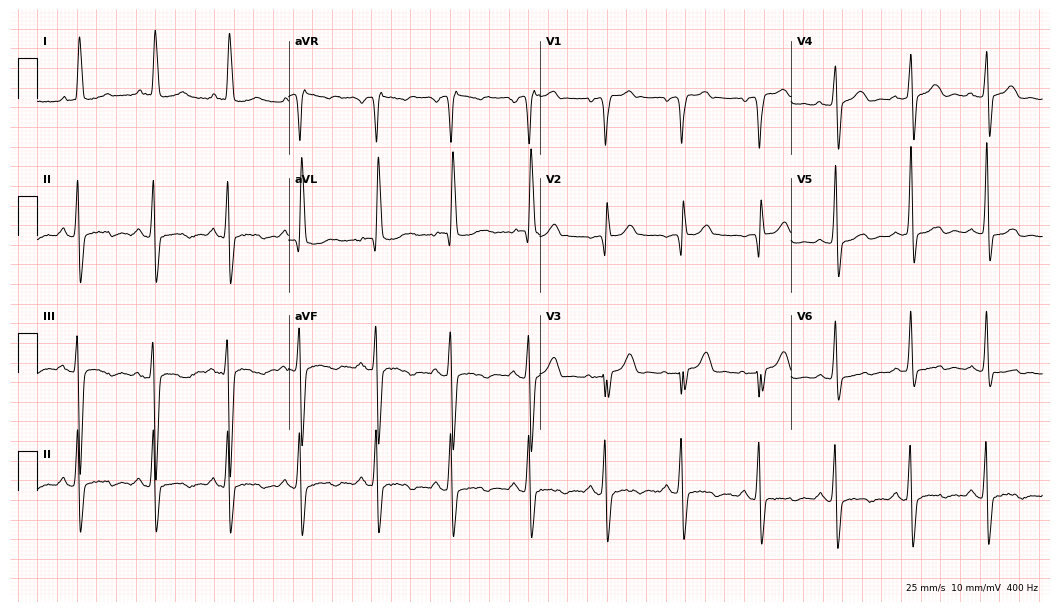
12-lead ECG (10.2-second recording at 400 Hz) from a female patient, 74 years old. Screened for six findings — first-degree AV block, right bundle branch block, left bundle branch block, sinus bradycardia, atrial fibrillation, sinus tachycardia — none is recorded. Only these six findings were labelled.